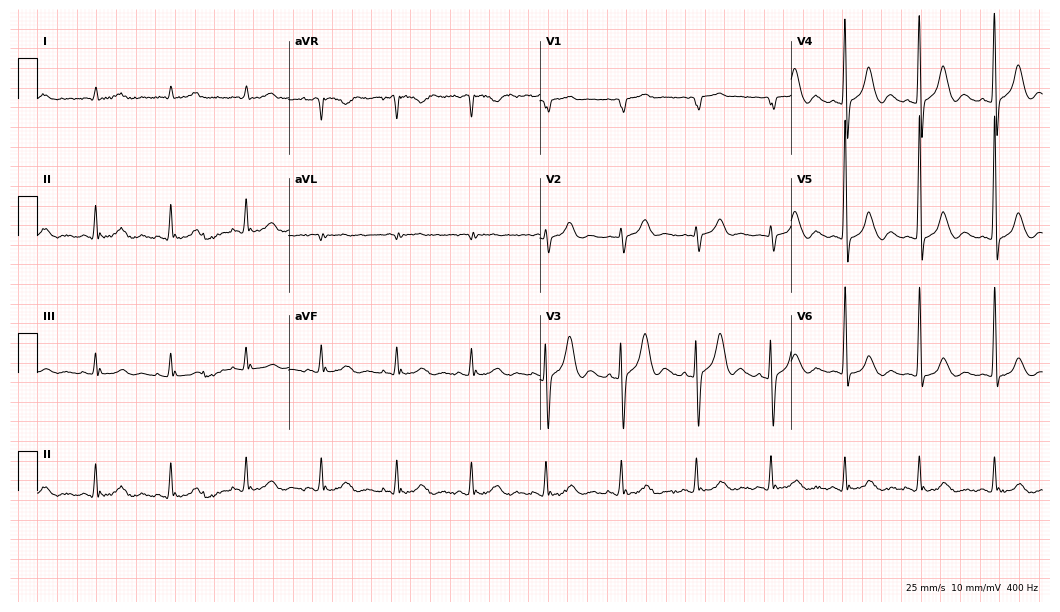
Electrocardiogram (10.2-second recording at 400 Hz), an 81-year-old male patient. Overall reading on record: normal ECG.